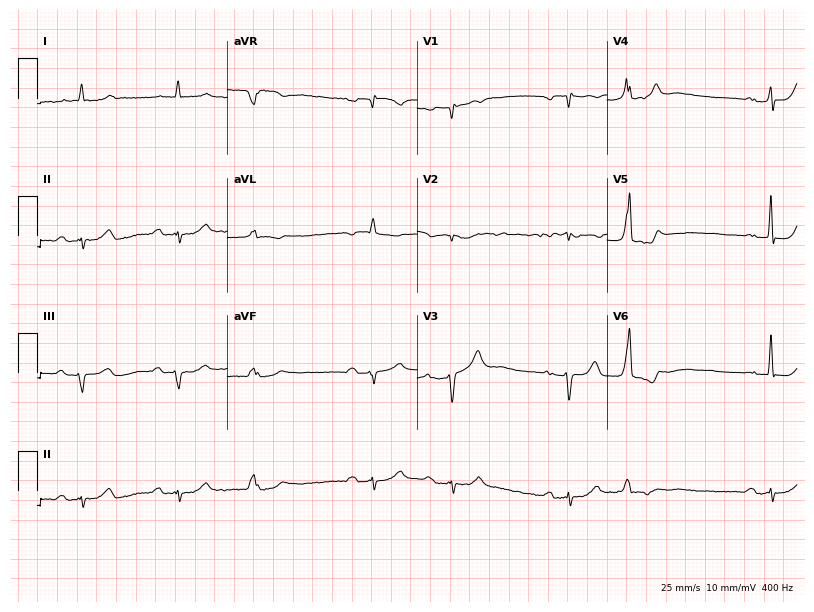
ECG — an 83-year-old male. Screened for six findings — first-degree AV block, right bundle branch block, left bundle branch block, sinus bradycardia, atrial fibrillation, sinus tachycardia — none is recorded. Findings outside these six are not listed.